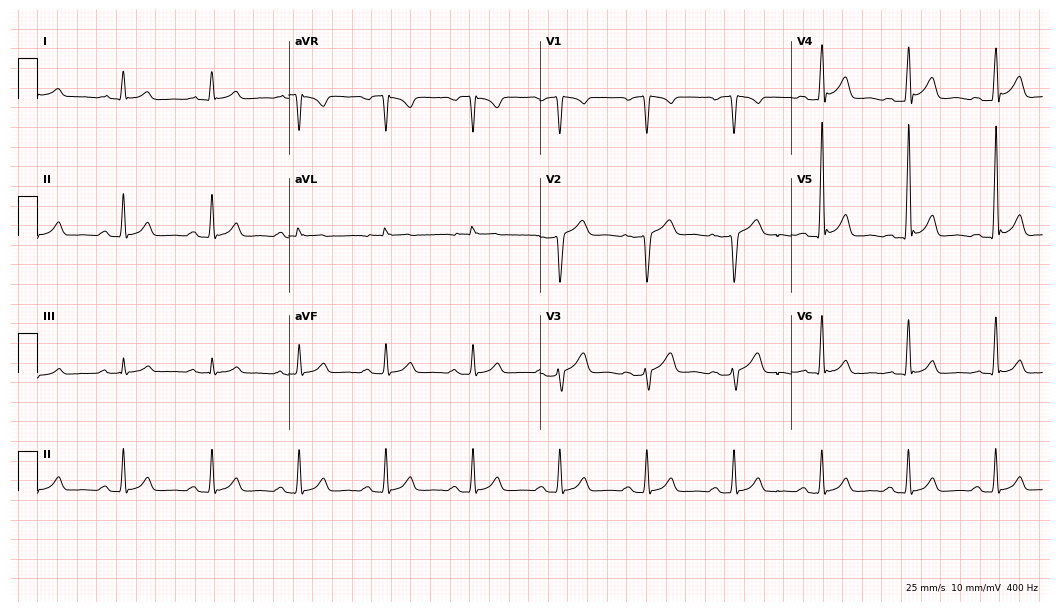
12-lead ECG from a 62-year-old male patient. Recorded interpretation: within normal limits.